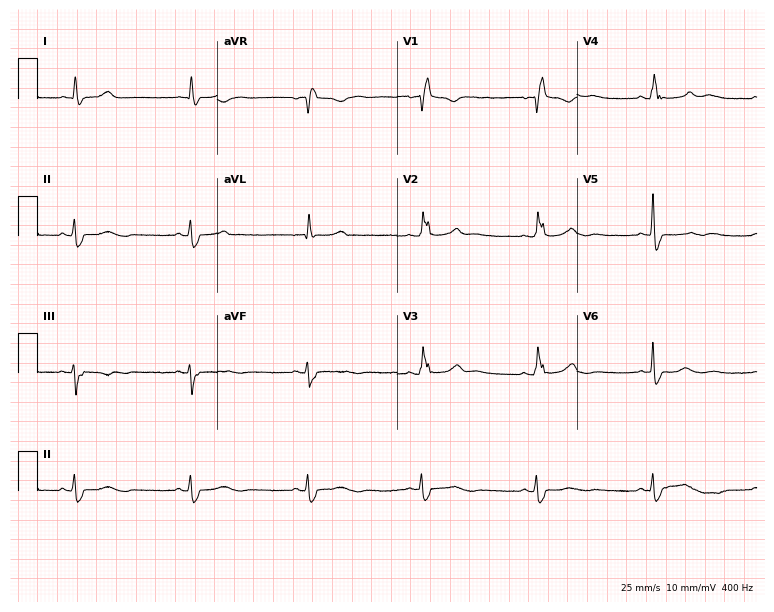
12-lead ECG from a man, 58 years old. Shows right bundle branch block (RBBB), sinus bradycardia (a sinus rate of 50 beats per minute or less).